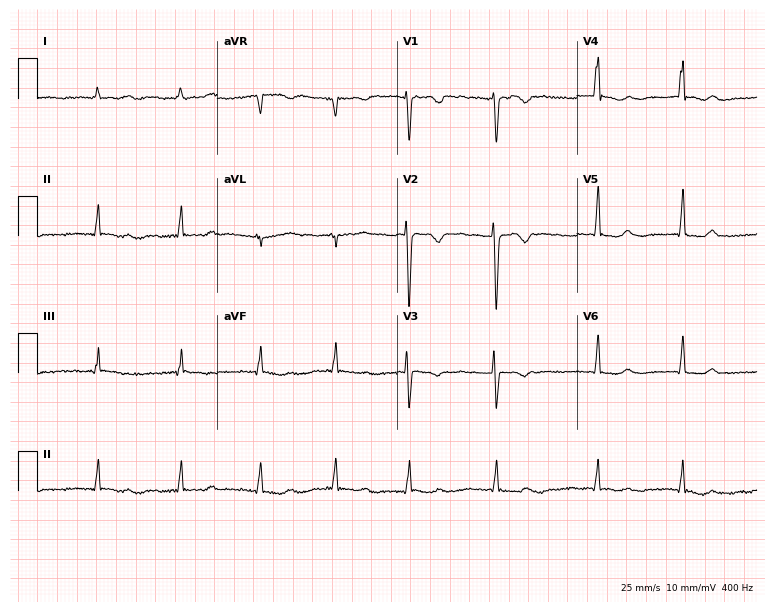
Resting 12-lead electrocardiogram. Patient: a female, 50 years old. The tracing shows atrial fibrillation.